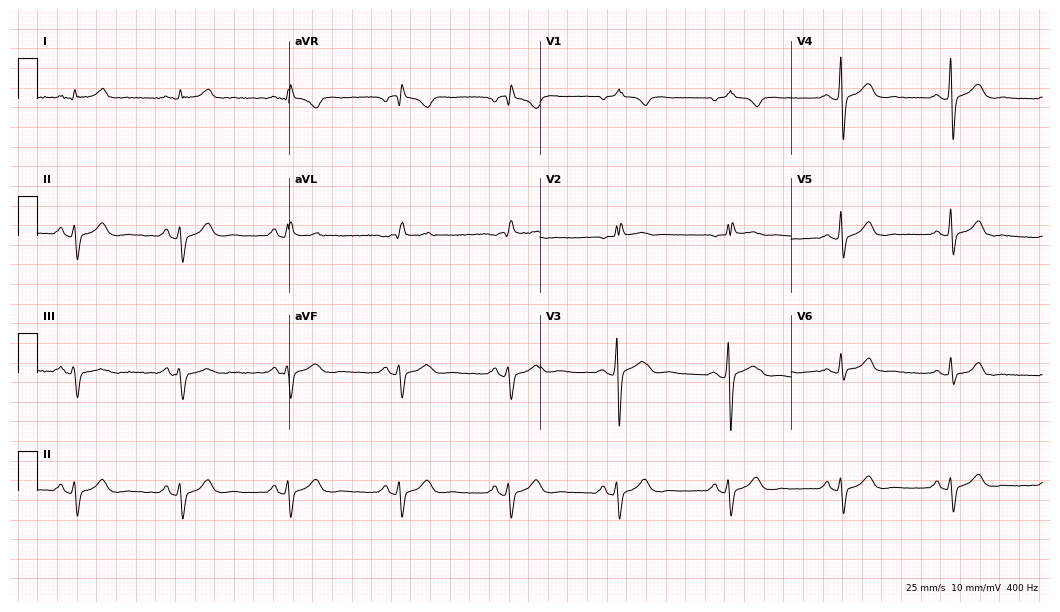
12-lead ECG (10.2-second recording at 400 Hz) from a 54-year-old man. Screened for six findings — first-degree AV block, right bundle branch block (RBBB), left bundle branch block (LBBB), sinus bradycardia, atrial fibrillation (AF), sinus tachycardia — none is recorded. Other findings, if any, are not listed.